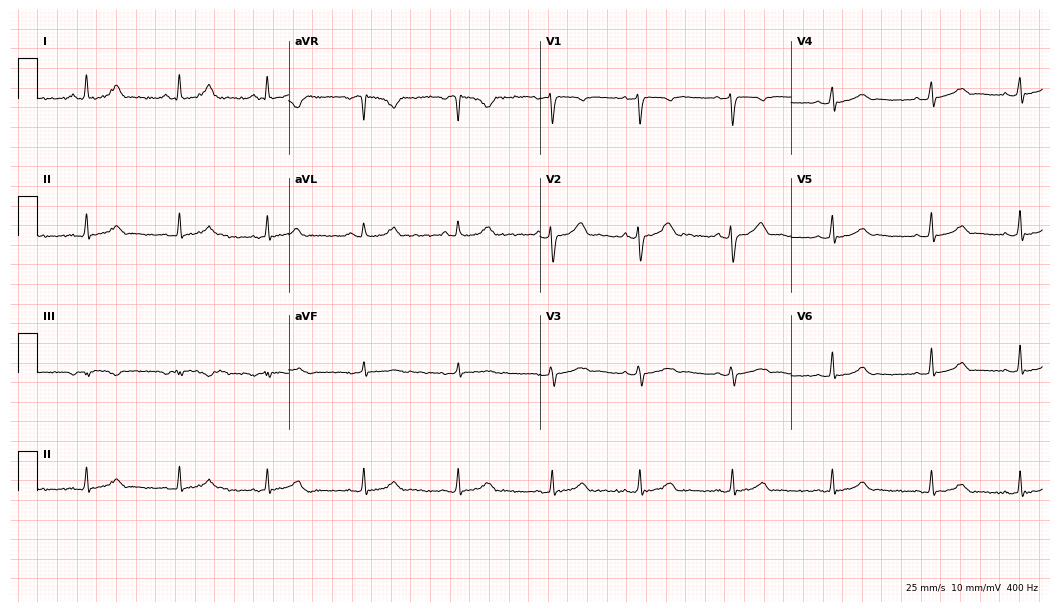
Electrocardiogram, a 34-year-old woman. Of the six screened findings (first-degree AV block, right bundle branch block, left bundle branch block, sinus bradycardia, atrial fibrillation, sinus tachycardia), none is recorded. Findings outside these six are not listed.